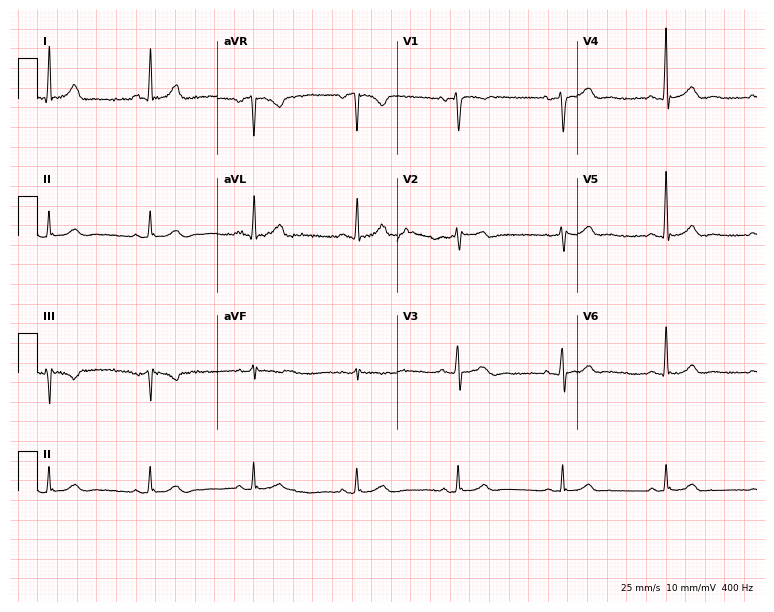
ECG (7.3-second recording at 400 Hz) — a male patient, 43 years old. Labelled as a normal ECG.